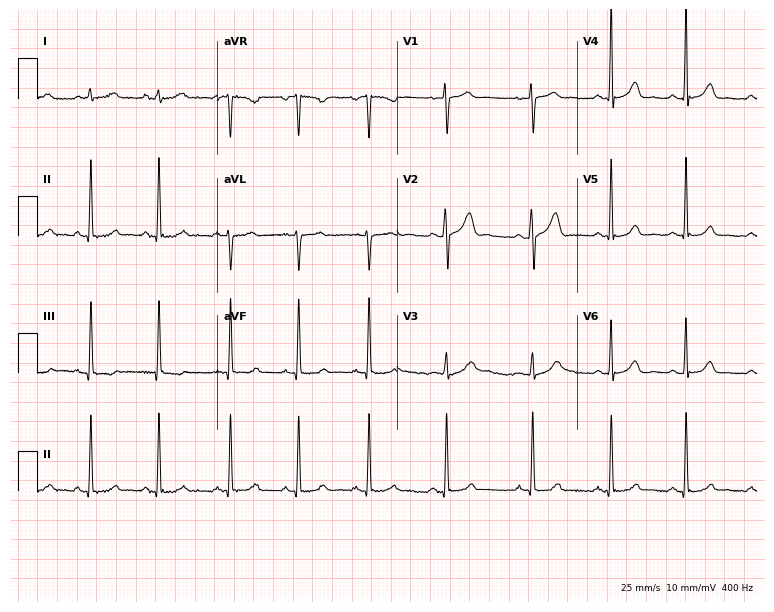
12-lead ECG (7.3-second recording at 400 Hz) from a 17-year-old woman. Labelled as a normal ECG.